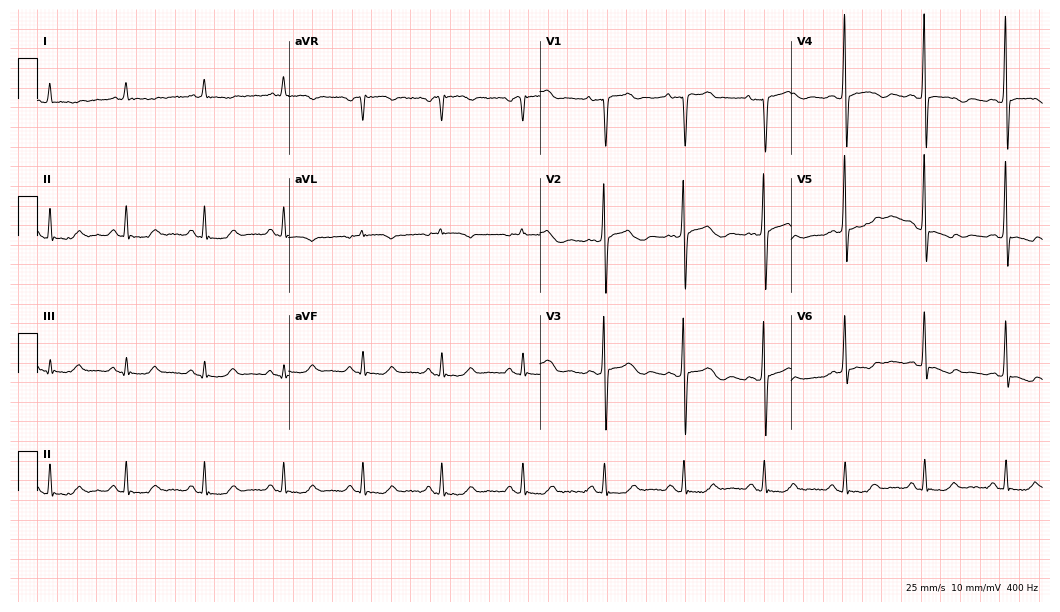
12-lead ECG from an 80-year-old man. Screened for six findings — first-degree AV block, right bundle branch block (RBBB), left bundle branch block (LBBB), sinus bradycardia, atrial fibrillation (AF), sinus tachycardia — none is recorded. Only these six findings were labelled.